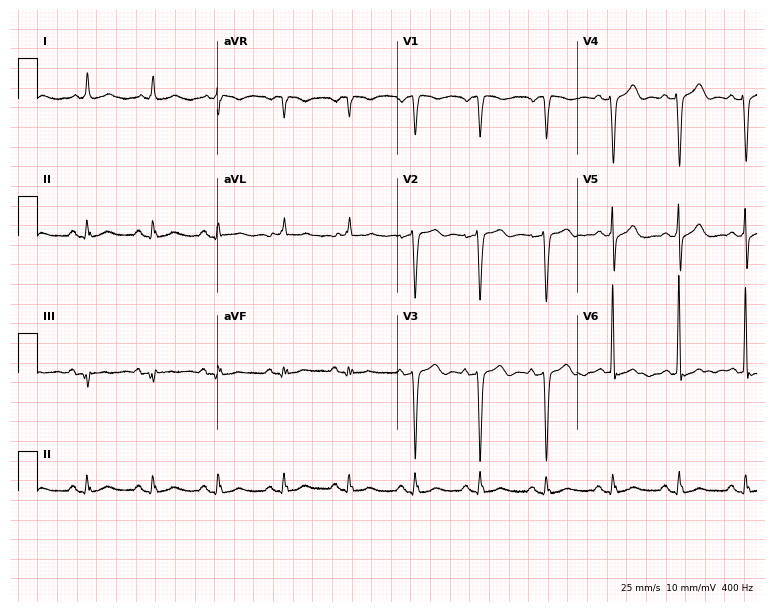
Electrocardiogram, a male patient, 74 years old. Of the six screened findings (first-degree AV block, right bundle branch block, left bundle branch block, sinus bradycardia, atrial fibrillation, sinus tachycardia), none is recorded.